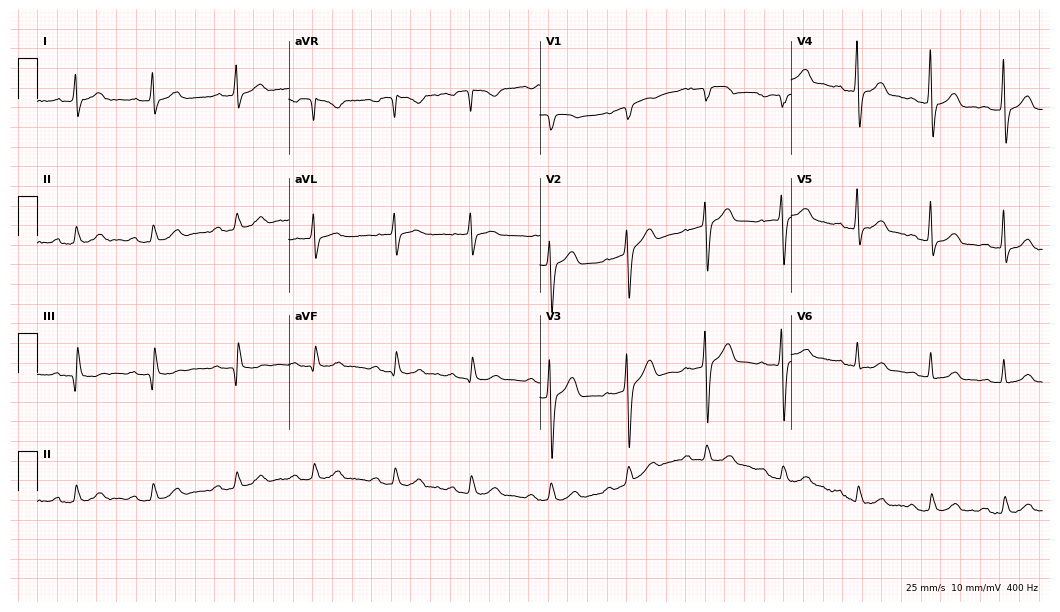
Standard 12-lead ECG recorded from a male, 70 years old. The tracing shows first-degree AV block.